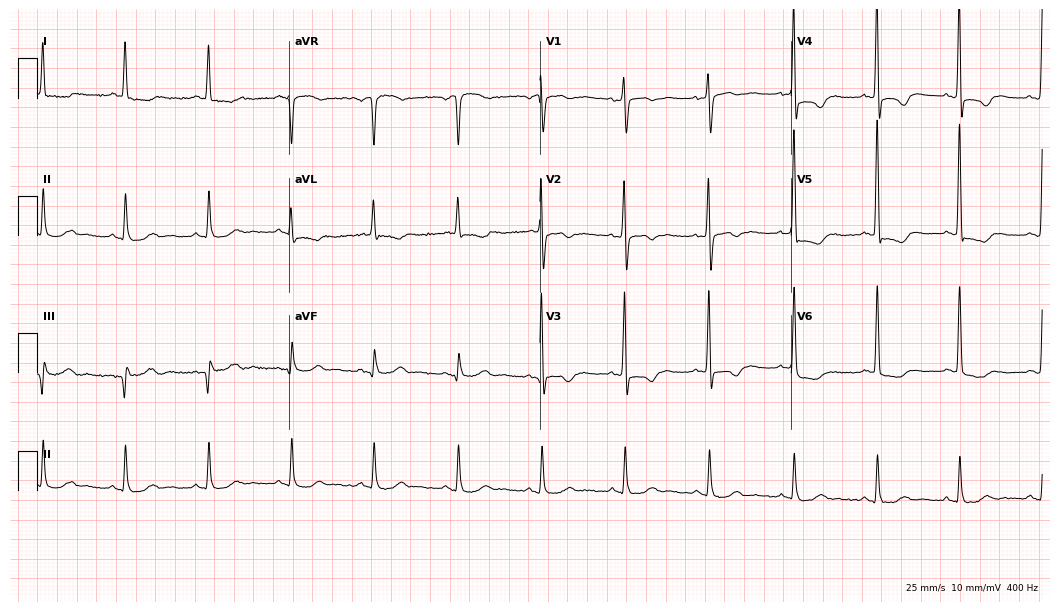
12-lead ECG from a female, 84 years old. No first-degree AV block, right bundle branch block (RBBB), left bundle branch block (LBBB), sinus bradycardia, atrial fibrillation (AF) or sinus tachycardia recorded for this tracing. Findings outside these six are not listed.